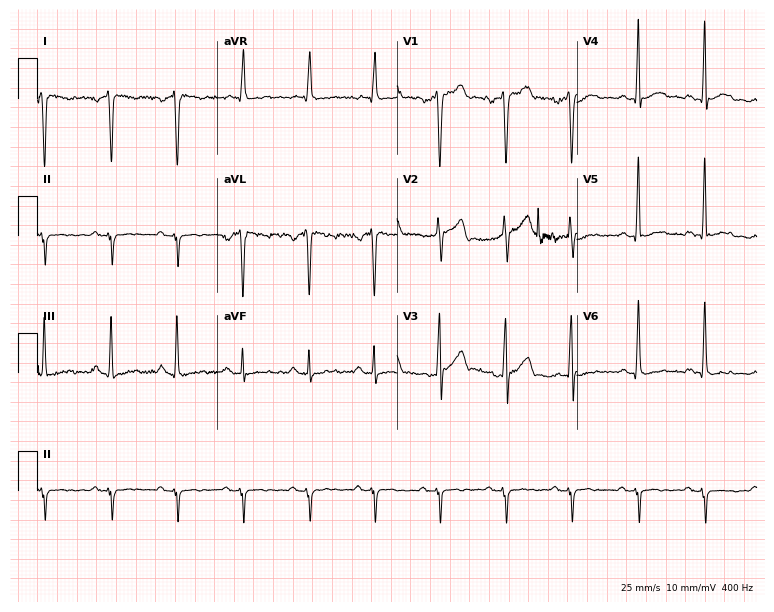
ECG — a male, 25 years old. Screened for six findings — first-degree AV block, right bundle branch block, left bundle branch block, sinus bradycardia, atrial fibrillation, sinus tachycardia — none is recorded. Findings outside these six are not listed.